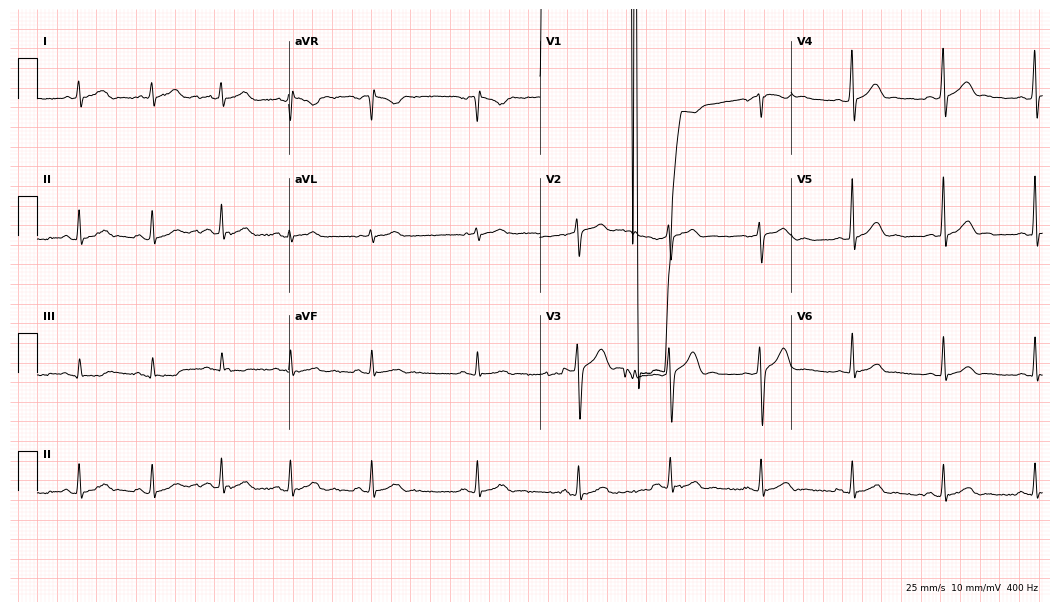
Standard 12-lead ECG recorded from a 28-year-old male patient. None of these six findings is recorded: first-degree AV block, right bundle branch block (RBBB), left bundle branch block (LBBB), sinus bradycardia, atrial fibrillation (AF), sinus tachycardia.